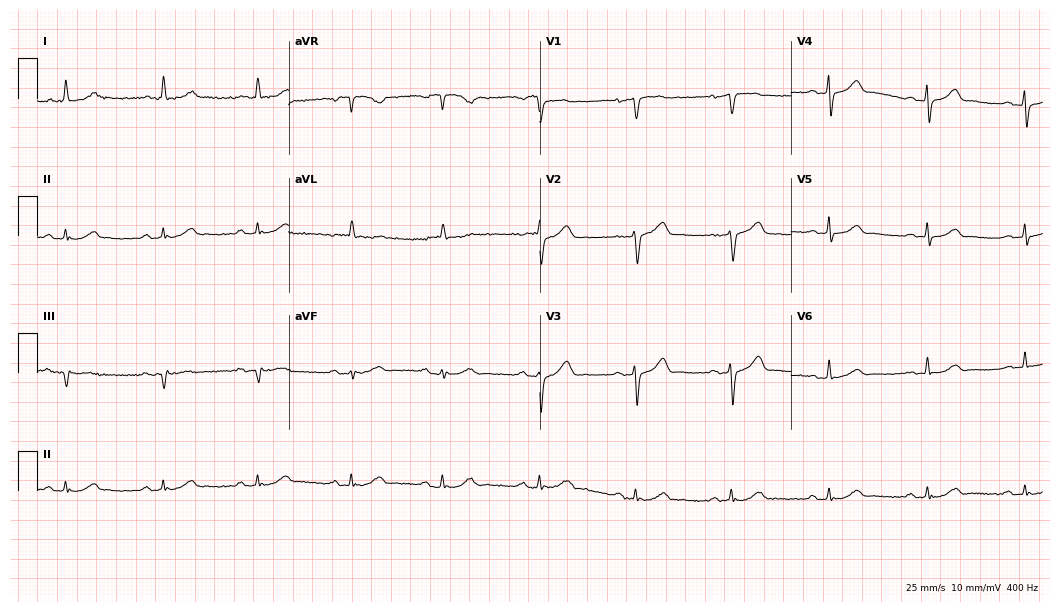
Resting 12-lead electrocardiogram (10.2-second recording at 400 Hz). Patient: a man, 73 years old. Read as a normal ECG.